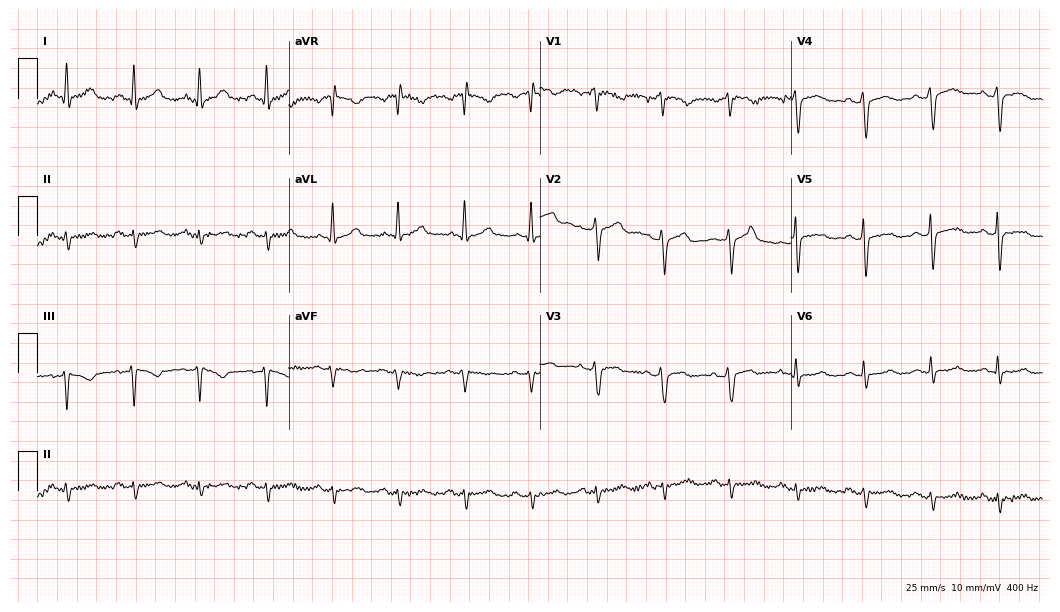
12-lead ECG from a 59-year-old male patient. No first-degree AV block, right bundle branch block, left bundle branch block, sinus bradycardia, atrial fibrillation or sinus tachycardia recorded for this tracing. Findings outside these six are not listed.